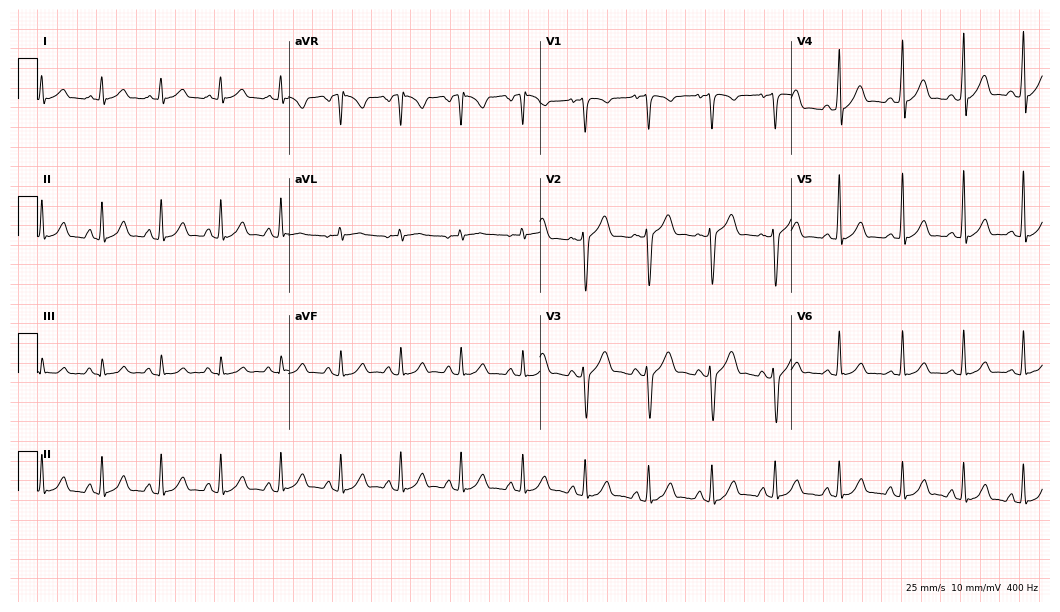
Electrocardiogram (10.2-second recording at 400 Hz), a 22-year-old man. Overall reading on record: normal ECG.